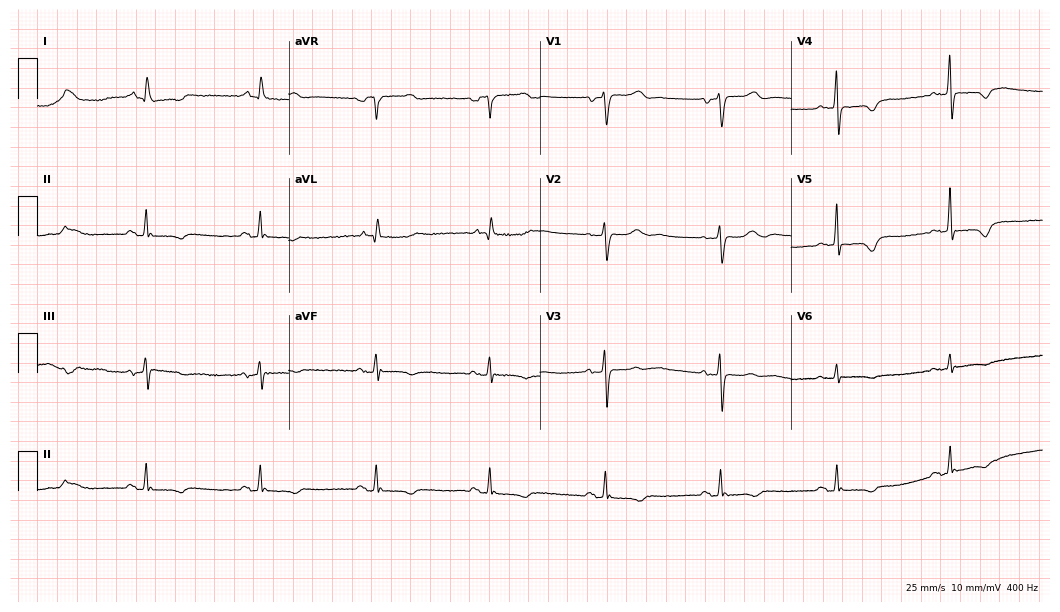
Standard 12-lead ECG recorded from a female patient, 63 years old. None of these six findings is recorded: first-degree AV block, right bundle branch block (RBBB), left bundle branch block (LBBB), sinus bradycardia, atrial fibrillation (AF), sinus tachycardia.